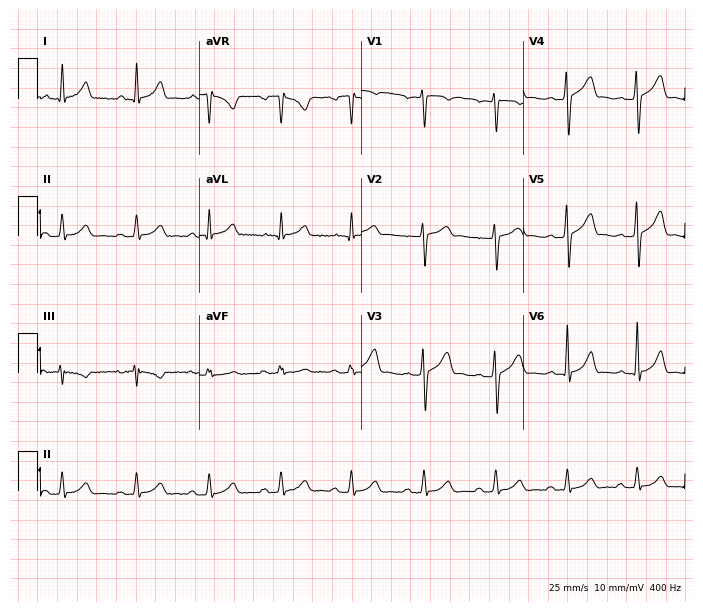
12-lead ECG from a 34-year-old male patient. Screened for six findings — first-degree AV block, right bundle branch block, left bundle branch block, sinus bradycardia, atrial fibrillation, sinus tachycardia — none is recorded. Only these six findings were labelled.